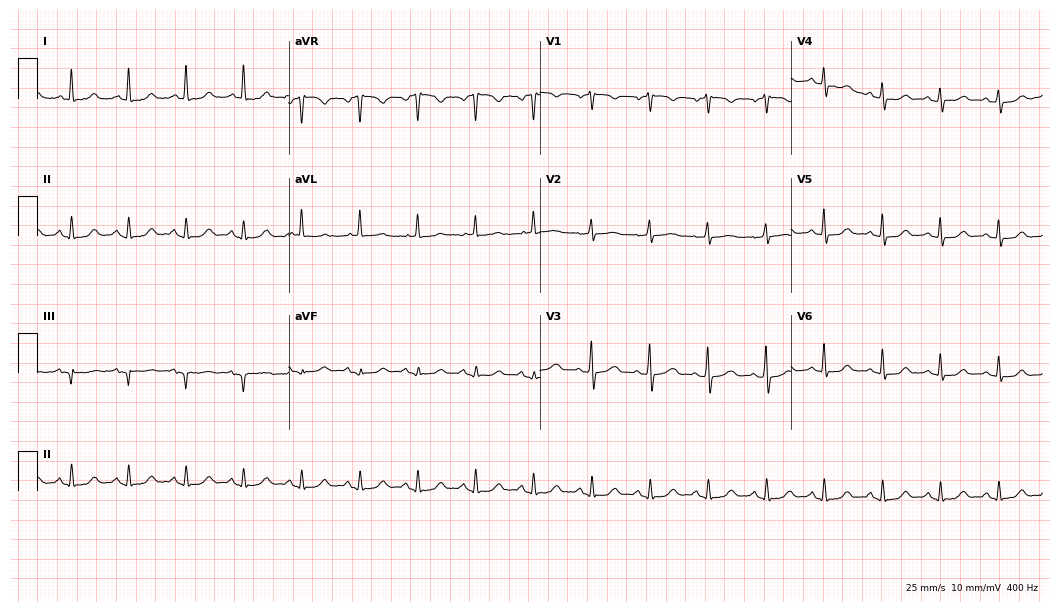
12-lead ECG from an 81-year-old female patient. Findings include sinus tachycardia (a sinus rate of 100 beats per minute or more).